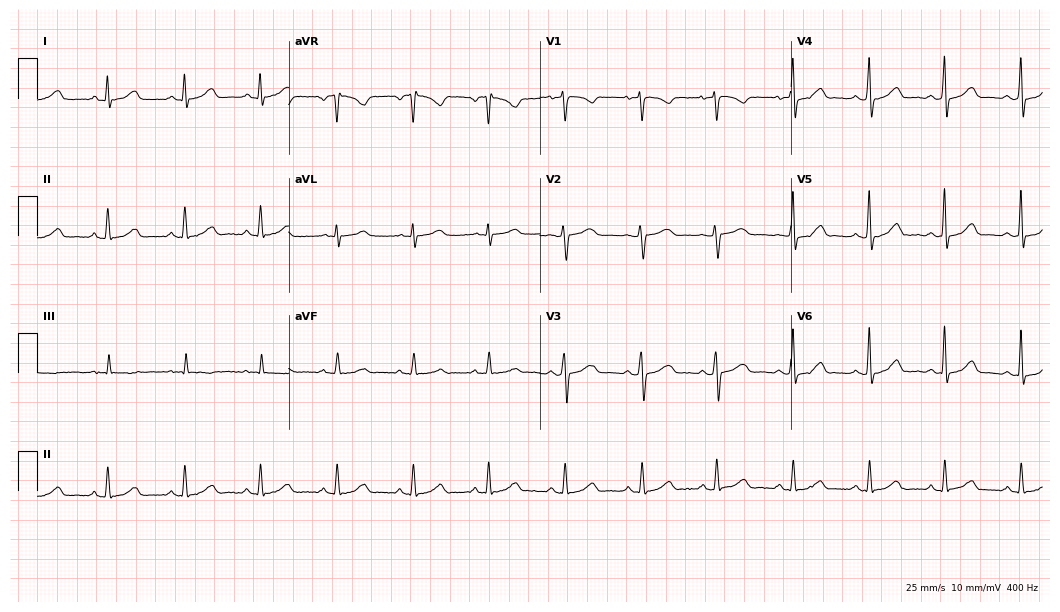
Resting 12-lead electrocardiogram. Patient: a 43-year-old female. Read as a normal ECG.